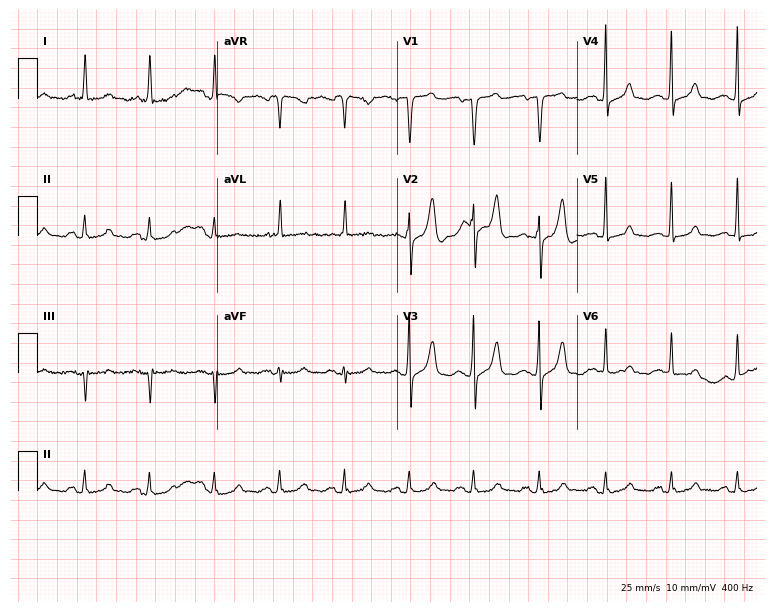
Standard 12-lead ECG recorded from a 66-year-old woman (7.3-second recording at 400 Hz). None of these six findings is recorded: first-degree AV block, right bundle branch block, left bundle branch block, sinus bradycardia, atrial fibrillation, sinus tachycardia. Only these six findings were labelled.